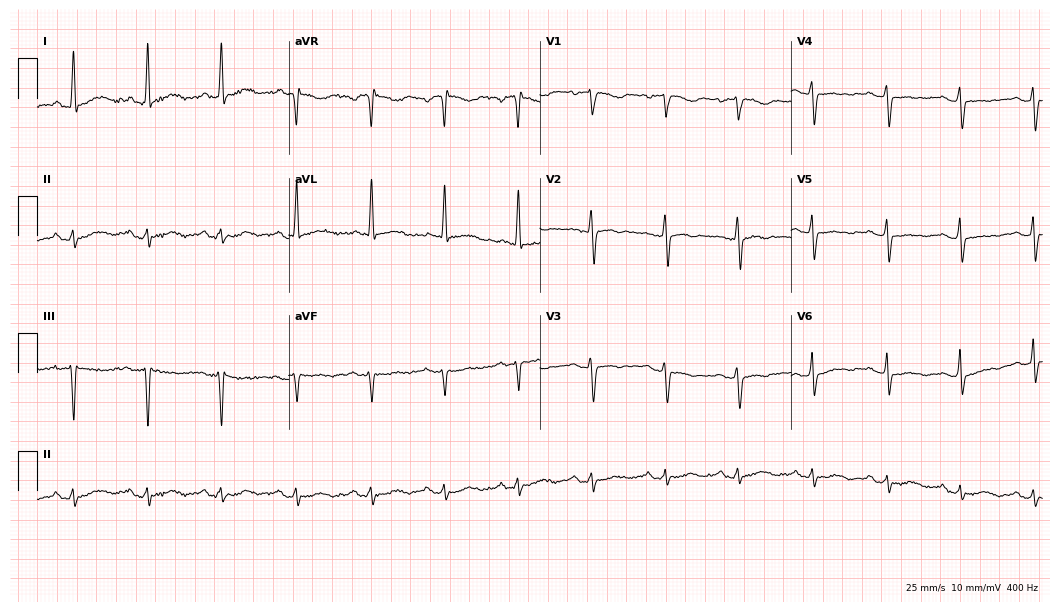
Electrocardiogram (10.2-second recording at 400 Hz), a woman, 72 years old. Of the six screened findings (first-degree AV block, right bundle branch block, left bundle branch block, sinus bradycardia, atrial fibrillation, sinus tachycardia), none is recorded.